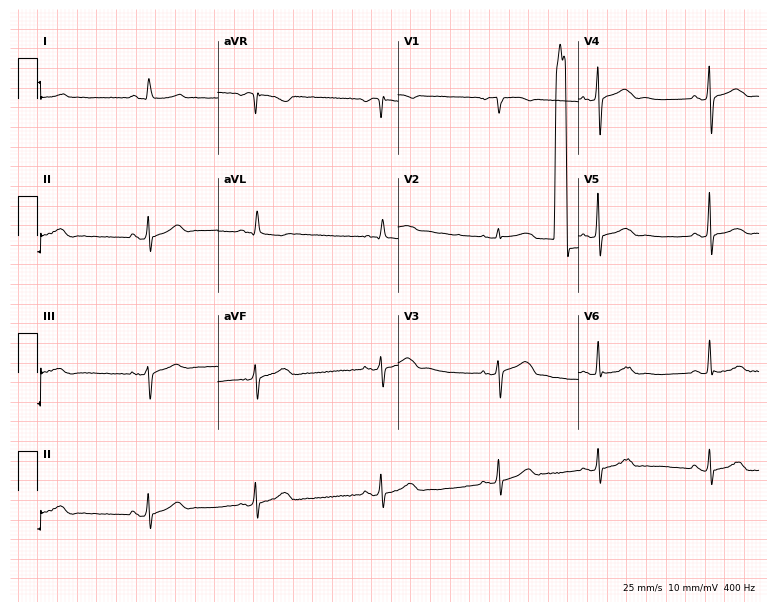
12-lead ECG from a 75-year-old female patient. Labelled as a normal ECG.